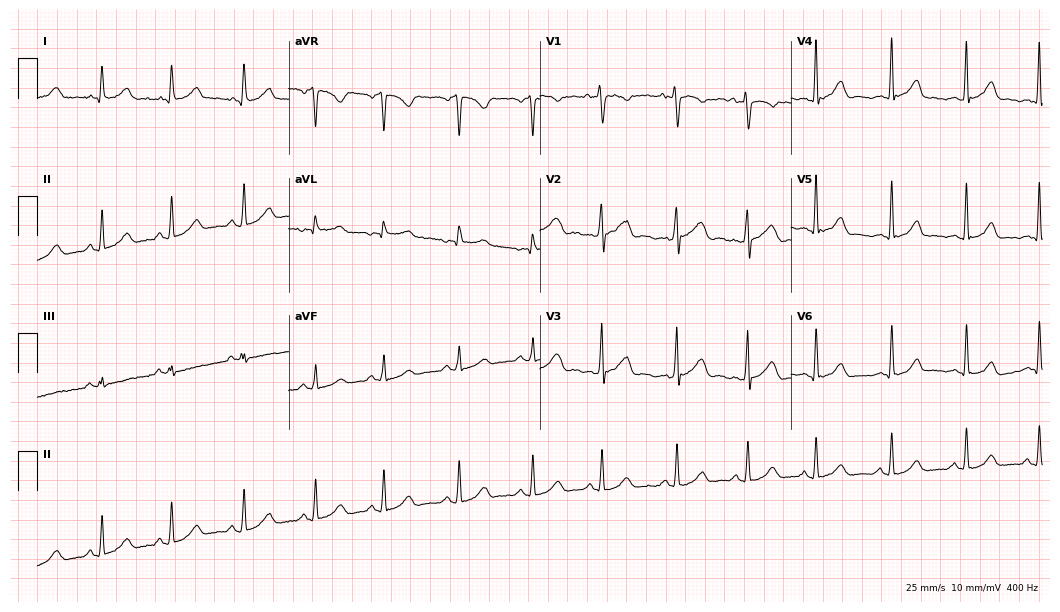
Electrocardiogram (10.2-second recording at 400 Hz), a female, 24 years old. Overall reading on record: normal ECG.